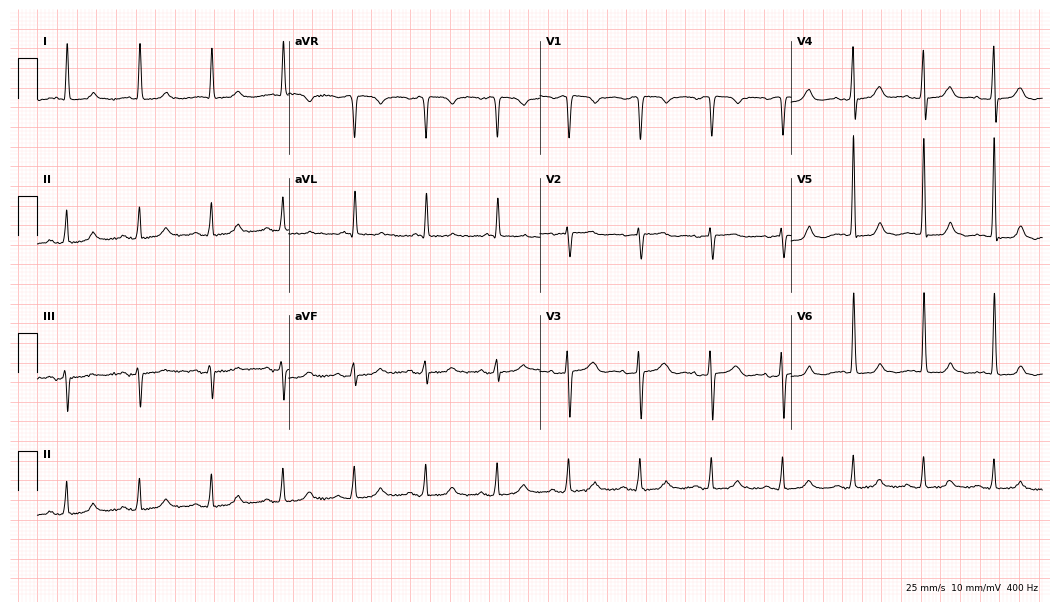
Resting 12-lead electrocardiogram. Patient: a female, 85 years old. None of these six findings is recorded: first-degree AV block, right bundle branch block, left bundle branch block, sinus bradycardia, atrial fibrillation, sinus tachycardia. Only these six findings were labelled.